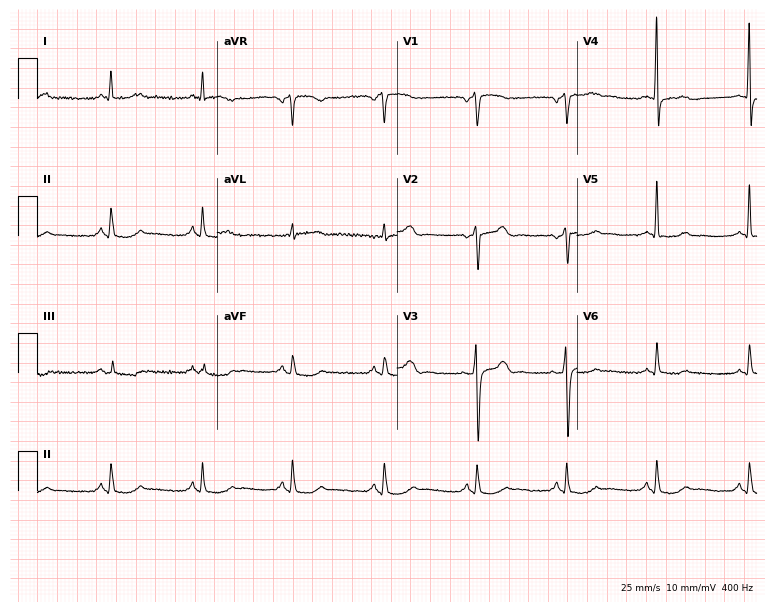
12-lead ECG from a man, 49 years old. Screened for six findings — first-degree AV block, right bundle branch block, left bundle branch block, sinus bradycardia, atrial fibrillation, sinus tachycardia — none is recorded.